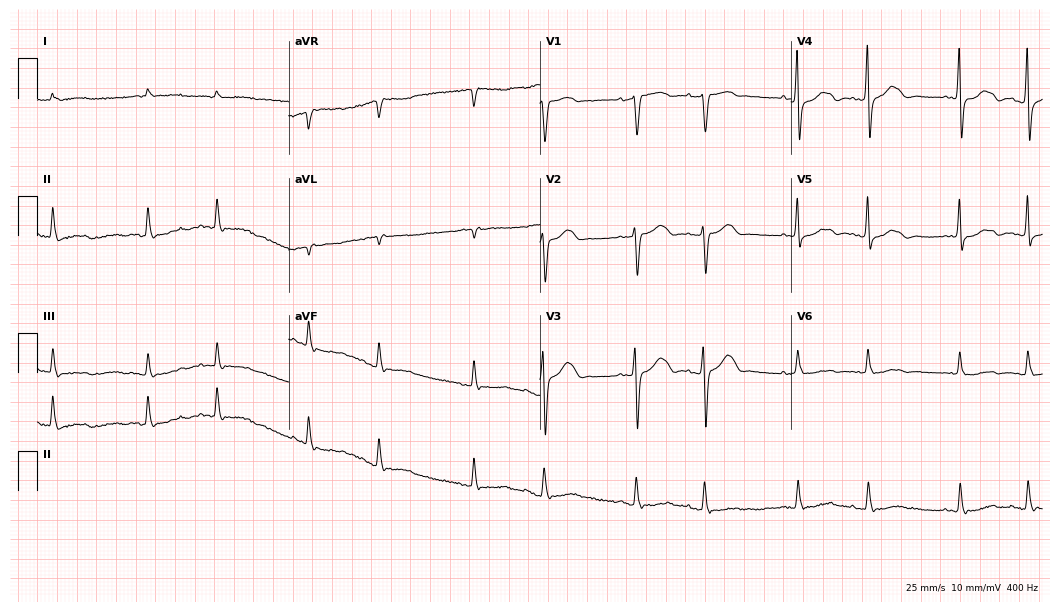
ECG — an 80-year-old man. Screened for six findings — first-degree AV block, right bundle branch block, left bundle branch block, sinus bradycardia, atrial fibrillation, sinus tachycardia — none is recorded. Only these six findings were labelled.